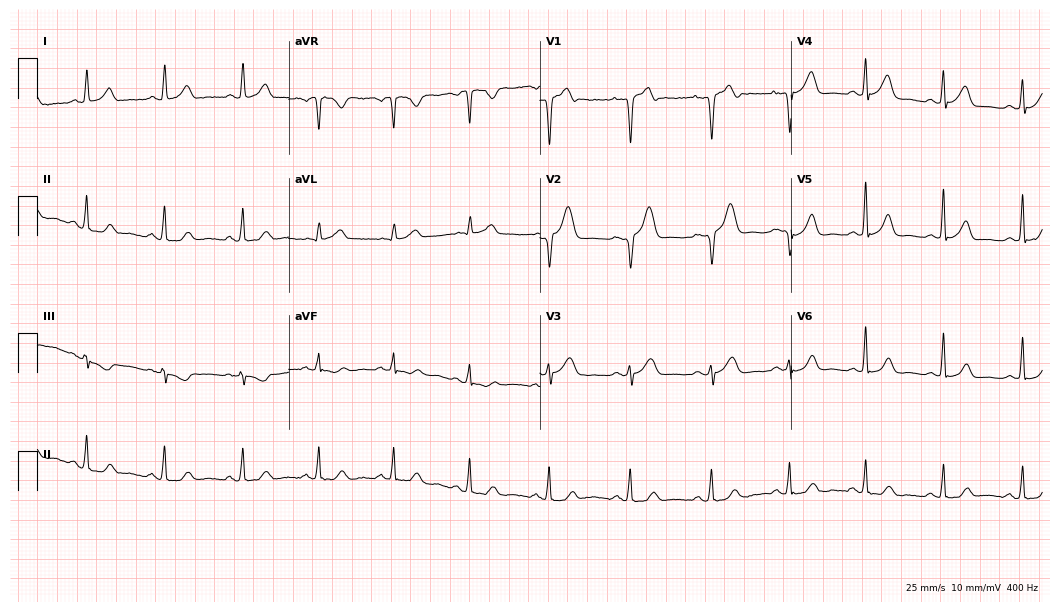
ECG (10.2-second recording at 400 Hz) — a female, 54 years old. Labelled as a normal ECG.